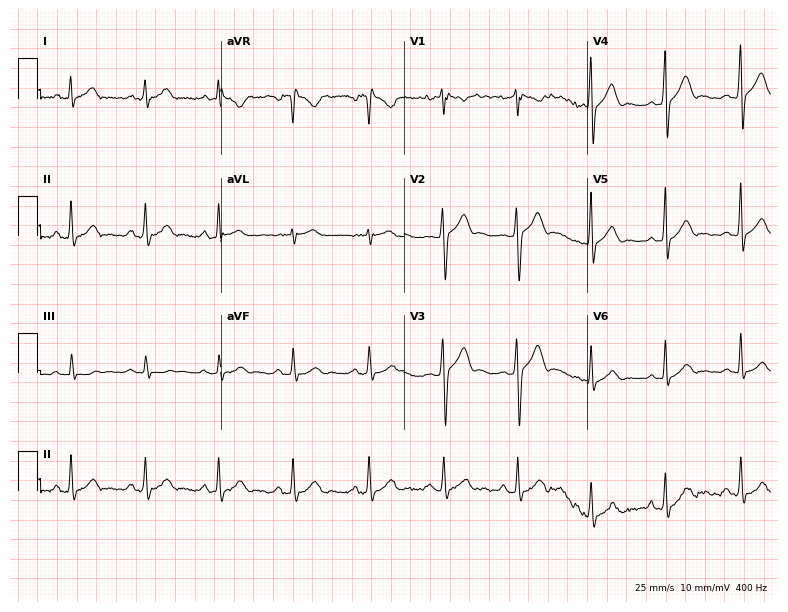
Electrocardiogram, a 26-year-old male. Overall reading on record: normal ECG.